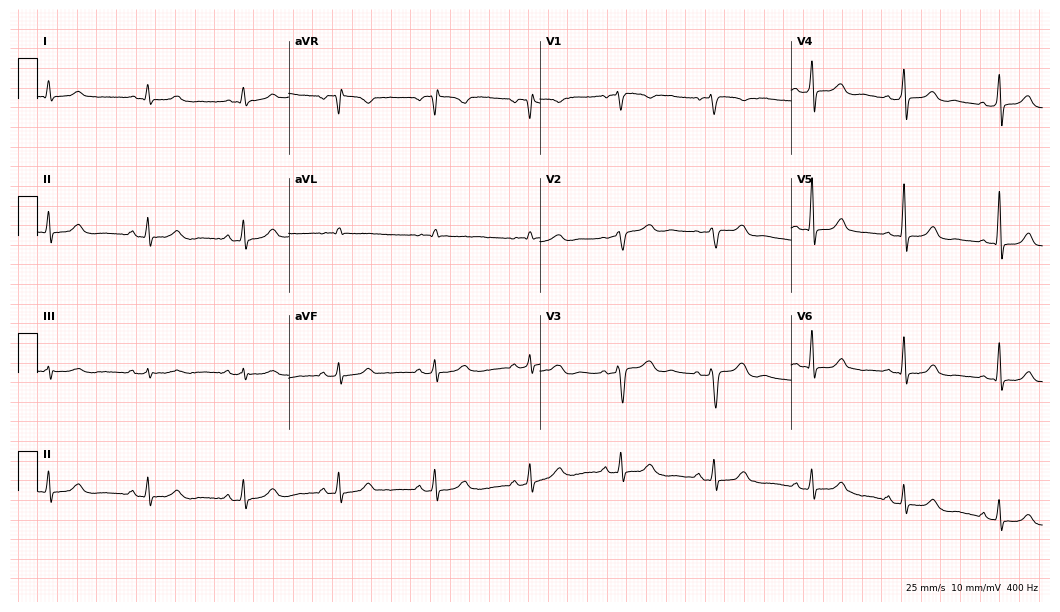
Resting 12-lead electrocardiogram. Patient: a 50-year-old woman. Read as a normal ECG.